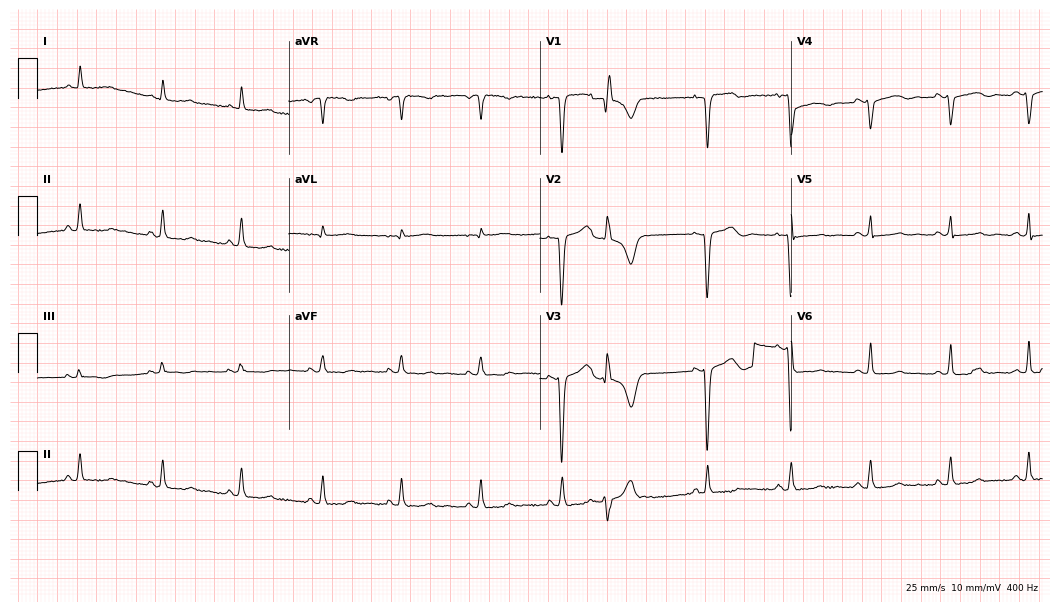
Electrocardiogram, a 42-year-old female. Of the six screened findings (first-degree AV block, right bundle branch block, left bundle branch block, sinus bradycardia, atrial fibrillation, sinus tachycardia), none is recorded.